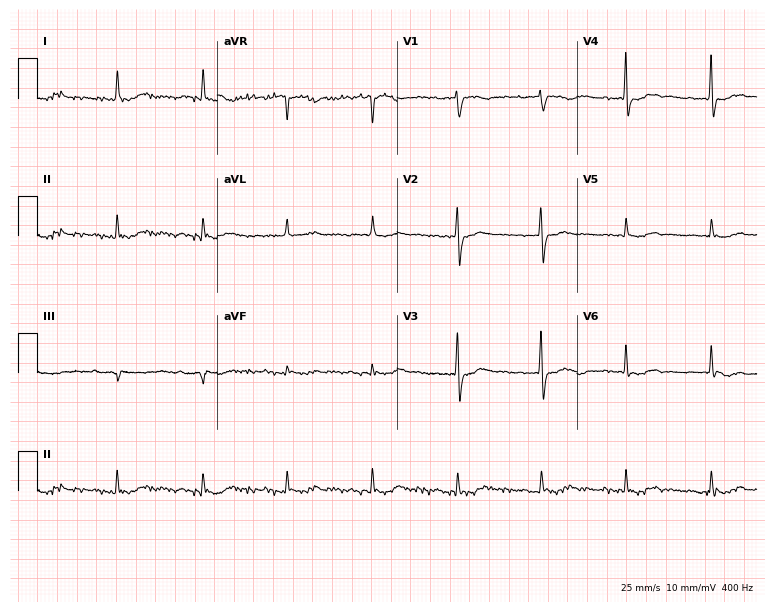
Electrocardiogram, a female patient, 77 years old. Of the six screened findings (first-degree AV block, right bundle branch block, left bundle branch block, sinus bradycardia, atrial fibrillation, sinus tachycardia), none is recorded. Other findings, if any, are not listed.